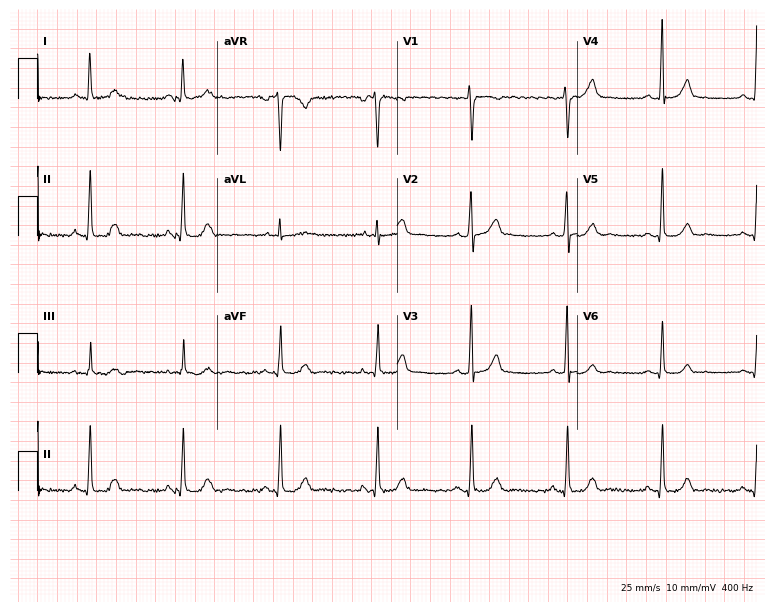
Resting 12-lead electrocardiogram. Patient: a female, 39 years old. Read as a normal ECG.